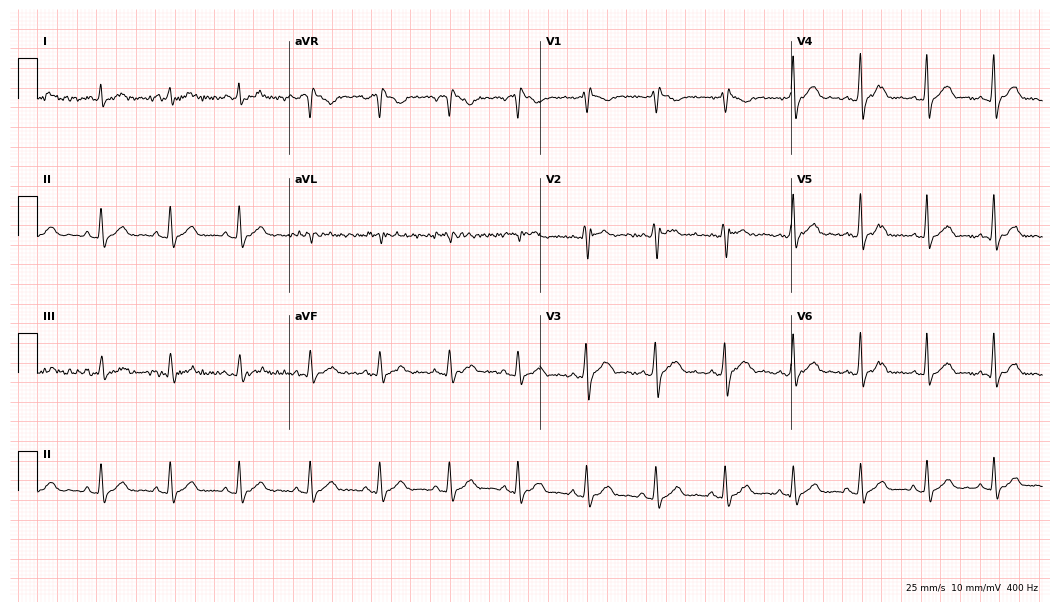
ECG — a 53-year-old man. Screened for six findings — first-degree AV block, right bundle branch block, left bundle branch block, sinus bradycardia, atrial fibrillation, sinus tachycardia — none is recorded. Only these six findings were labelled.